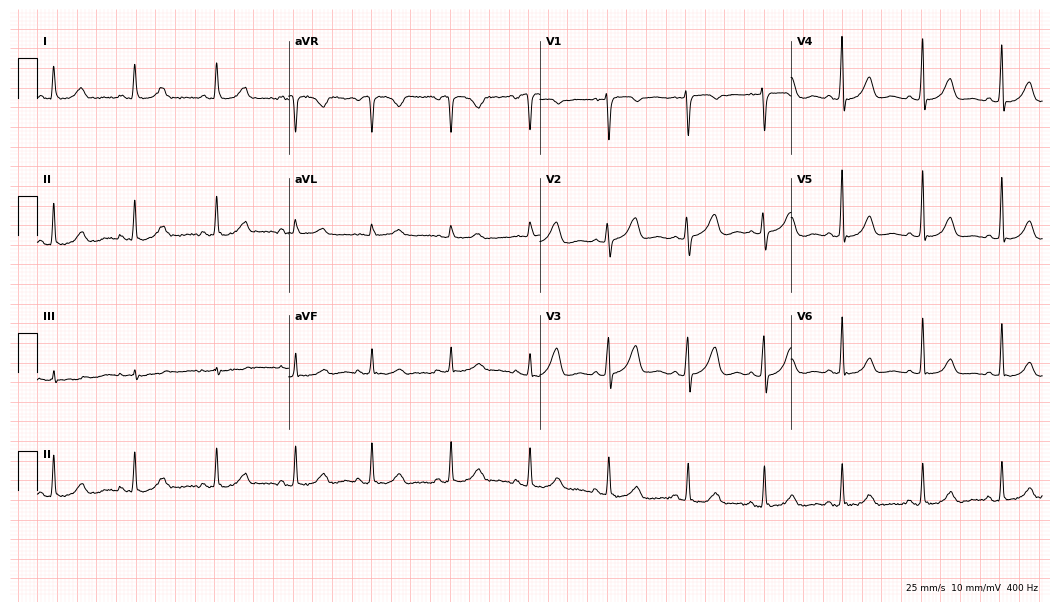
12-lead ECG from a 57-year-old female. Screened for six findings — first-degree AV block, right bundle branch block, left bundle branch block, sinus bradycardia, atrial fibrillation, sinus tachycardia — none is recorded. Only these six findings were labelled.